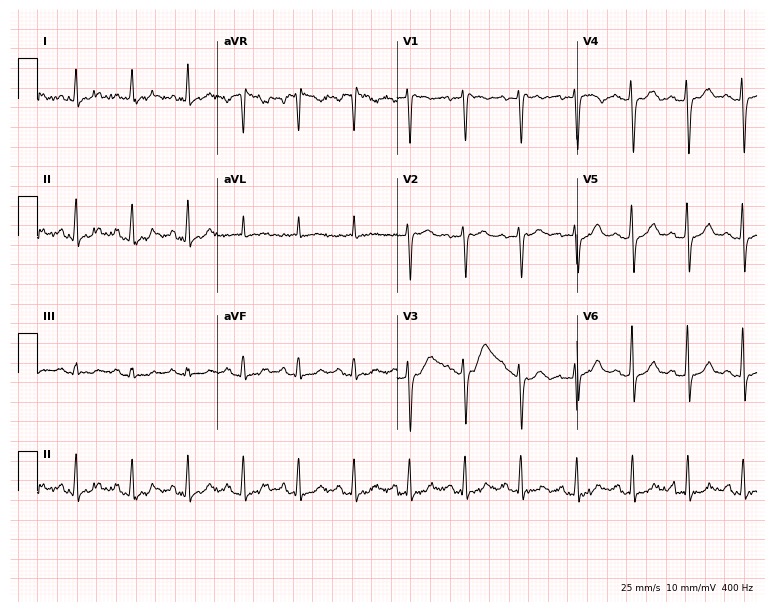
12-lead ECG (7.3-second recording at 400 Hz) from a 74-year-old woman. Findings include sinus tachycardia (a sinus rate of 100 beats per minute or more).